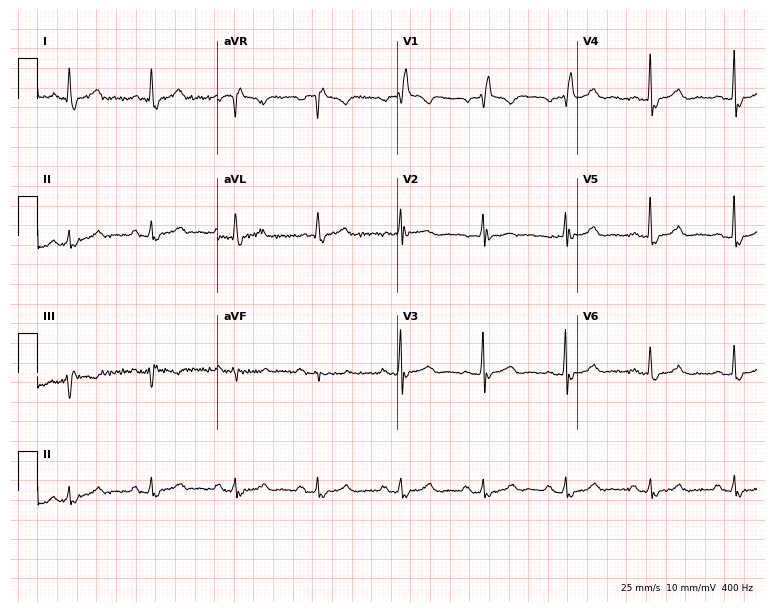
Standard 12-lead ECG recorded from a 77-year-old female (7.3-second recording at 400 Hz). The tracing shows right bundle branch block.